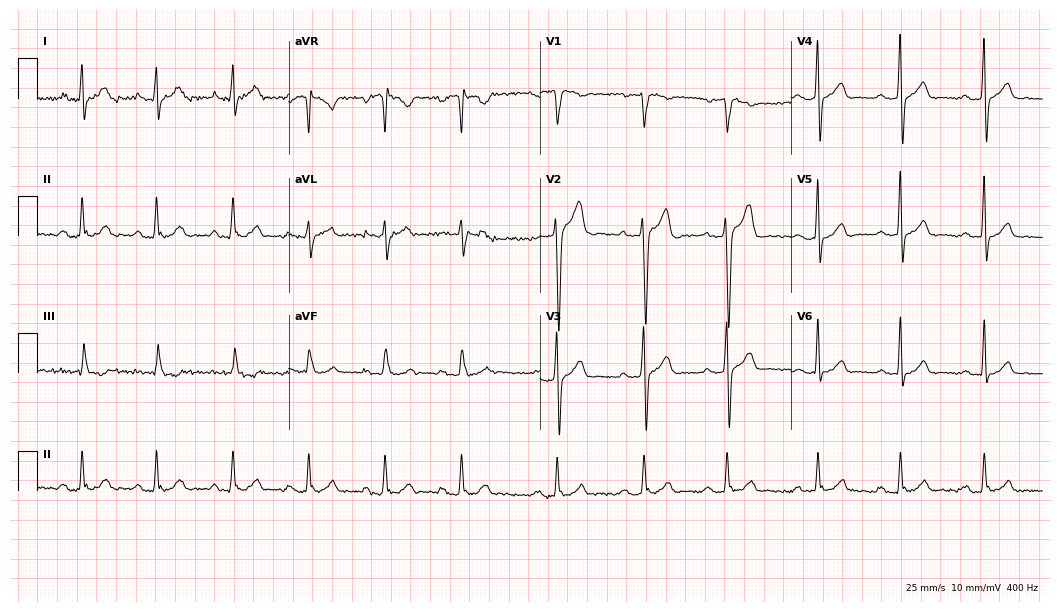
12-lead ECG from a male, 22 years old. No first-degree AV block, right bundle branch block (RBBB), left bundle branch block (LBBB), sinus bradycardia, atrial fibrillation (AF) or sinus tachycardia recorded for this tracing. Findings outside these six are not listed.